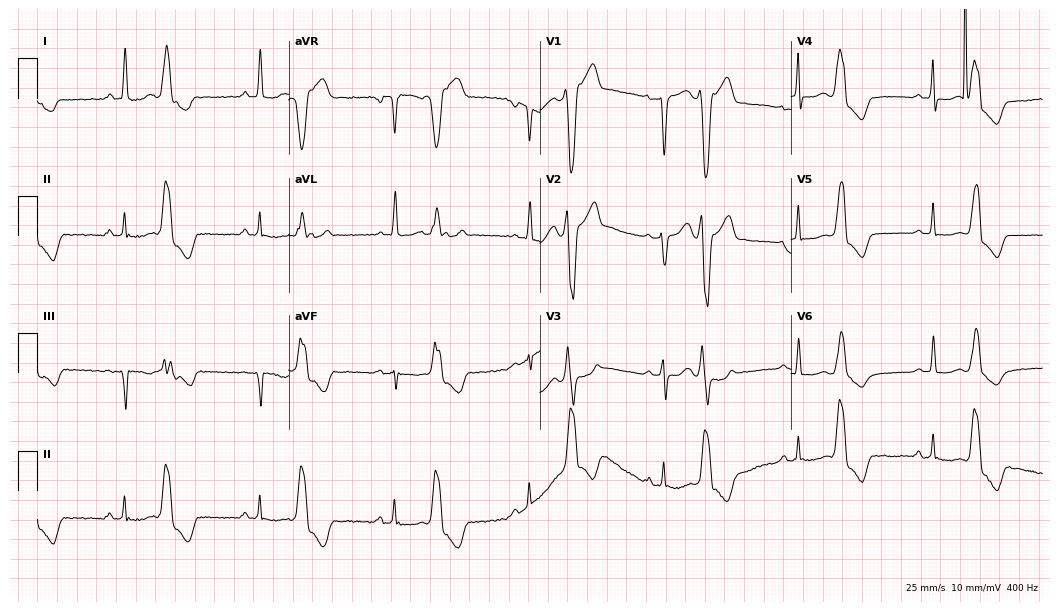
12-lead ECG from a woman, 50 years old. Screened for six findings — first-degree AV block, right bundle branch block, left bundle branch block, sinus bradycardia, atrial fibrillation, sinus tachycardia — none is recorded. Findings outside these six are not listed.